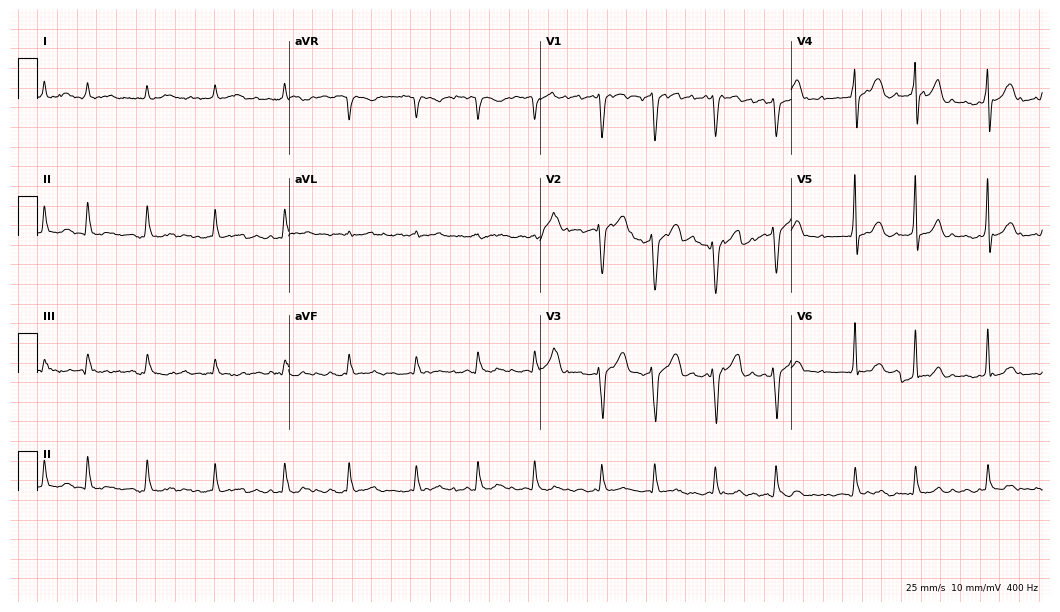
Resting 12-lead electrocardiogram. Patient: a 69-year-old man. The tracing shows atrial fibrillation.